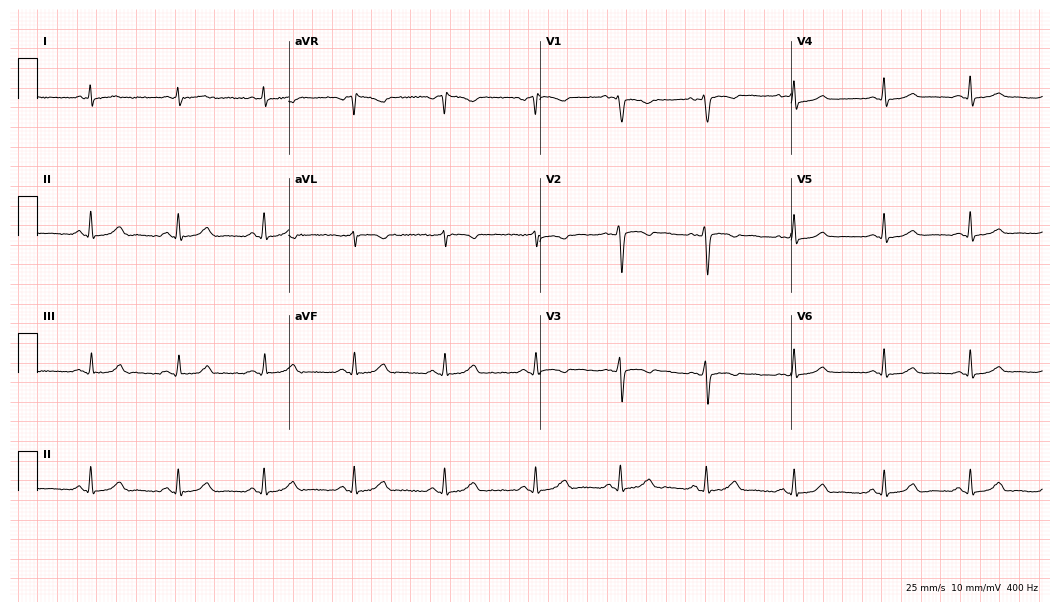
Electrocardiogram (10.2-second recording at 400 Hz), a 39-year-old female. Overall reading on record: normal ECG.